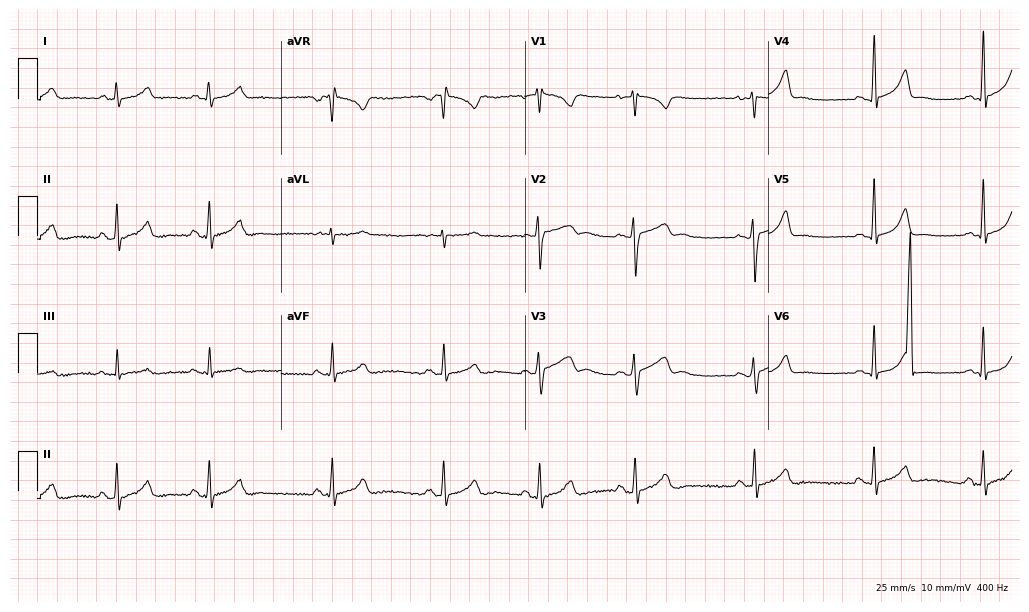
12-lead ECG from a female patient, 22 years old. Labelled as a normal ECG.